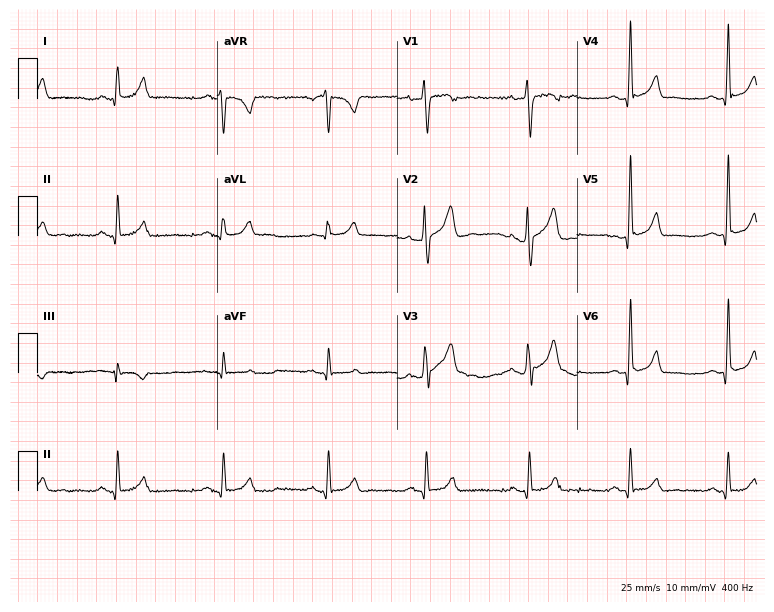
Electrocardiogram, a male patient, 28 years old. Of the six screened findings (first-degree AV block, right bundle branch block (RBBB), left bundle branch block (LBBB), sinus bradycardia, atrial fibrillation (AF), sinus tachycardia), none is recorded.